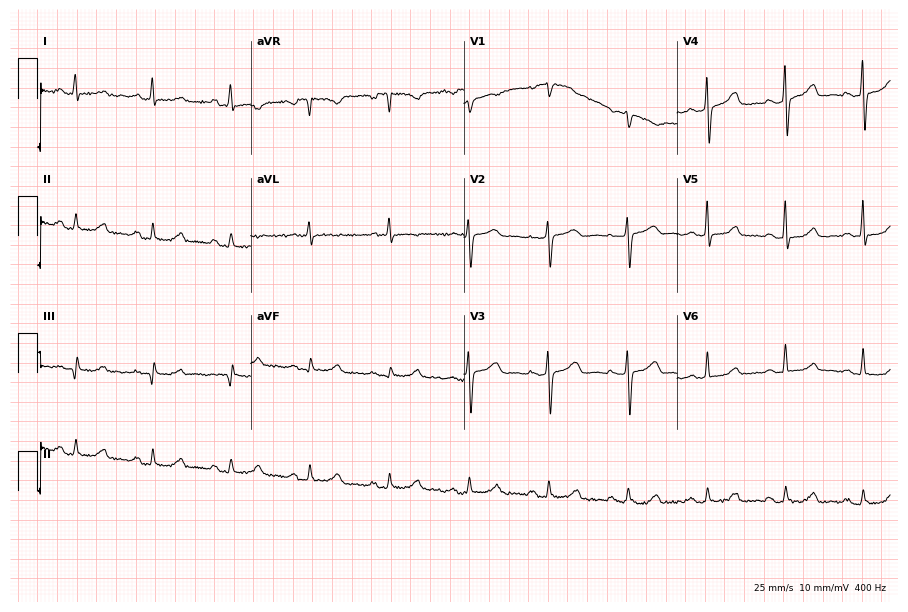
Electrocardiogram (8.7-second recording at 400 Hz), a 68-year-old female patient. Of the six screened findings (first-degree AV block, right bundle branch block, left bundle branch block, sinus bradycardia, atrial fibrillation, sinus tachycardia), none is recorded.